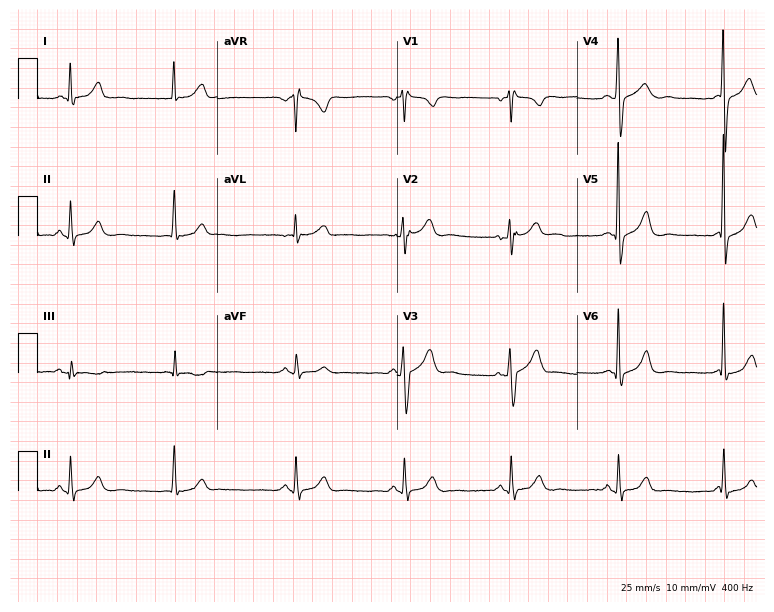
Standard 12-lead ECG recorded from a 55-year-old male (7.3-second recording at 400 Hz). None of these six findings is recorded: first-degree AV block, right bundle branch block (RBBB), left bundle branch block (LBBB), sinus bradycardia, atrial fibrillation (AF), sinus tachycardia.